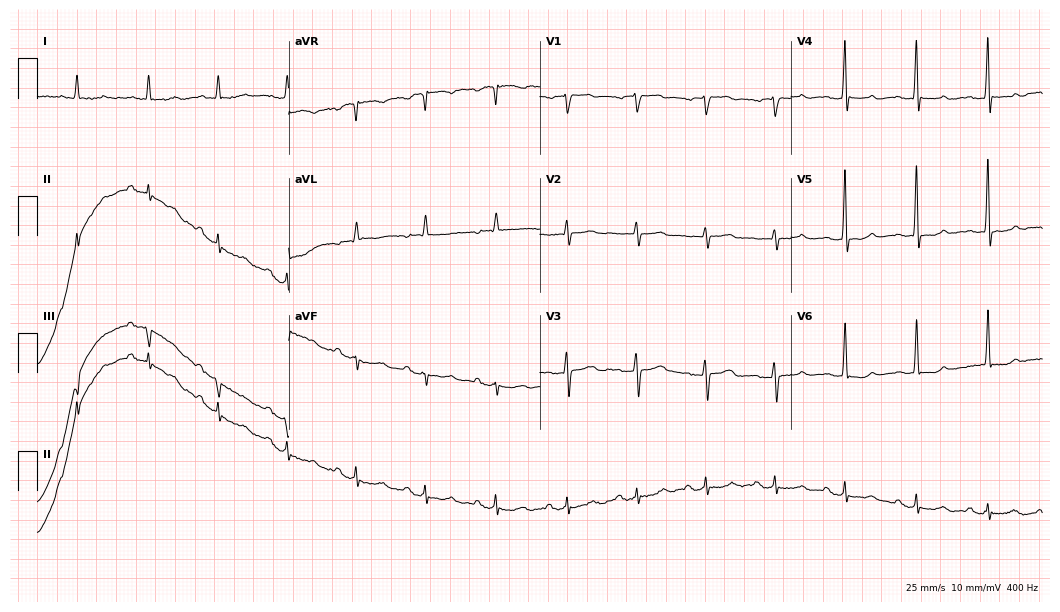
ECG — a male, 78 years old. Screened for six findings — first-degree AV block, right bundle branch block (RBBB), left bundle branch block (LBBB), sinus bradycardia, atrial fibrillation (AF), sinus tachycardia — none is recorded.